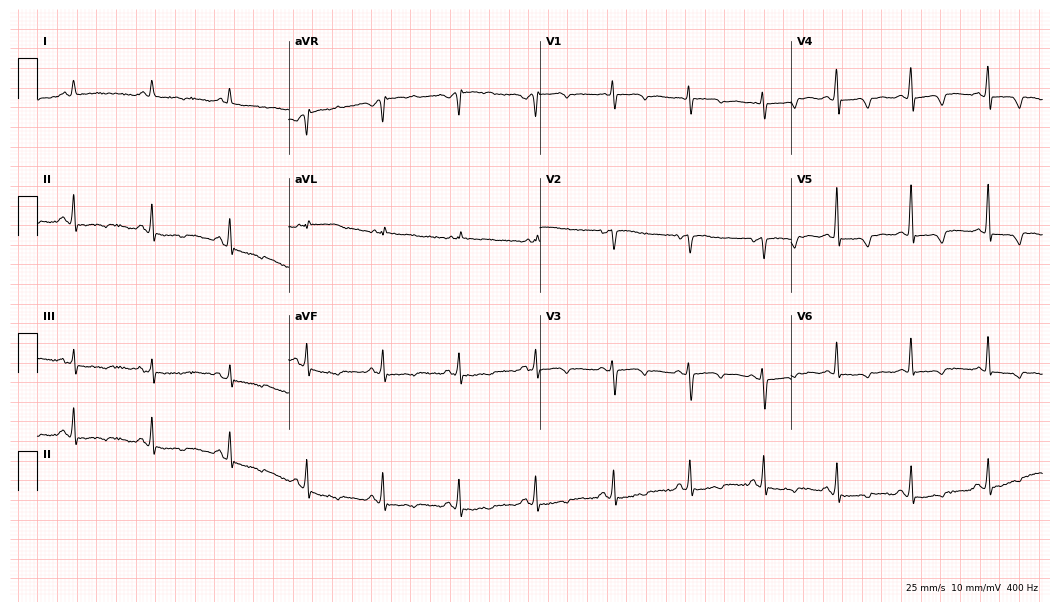
Resting 12-lead electrocardiogram (10.2-second recording at 400 Hz). Patient: a 48-year-old woman. None of these six findings is recorded: first-degree AV block, right bundle branch block, left bundle branch block, sinus bradycardia, atrial fibrillation, sinus tachycardia.